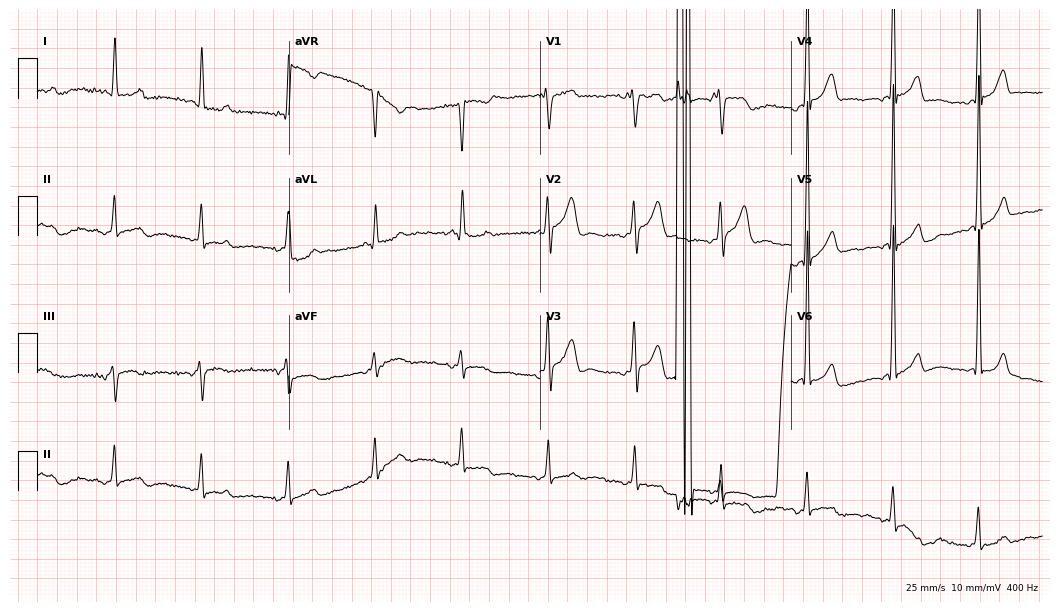
12-lead ECG from a male patient, 68 years old (10.2-second recording at 400 Hz). No first-degree AV block, right bundle branch block, left bundle branch block, sinus bradycardia, atrial fibrillation or sinus tachycardia recorded for this tracing.